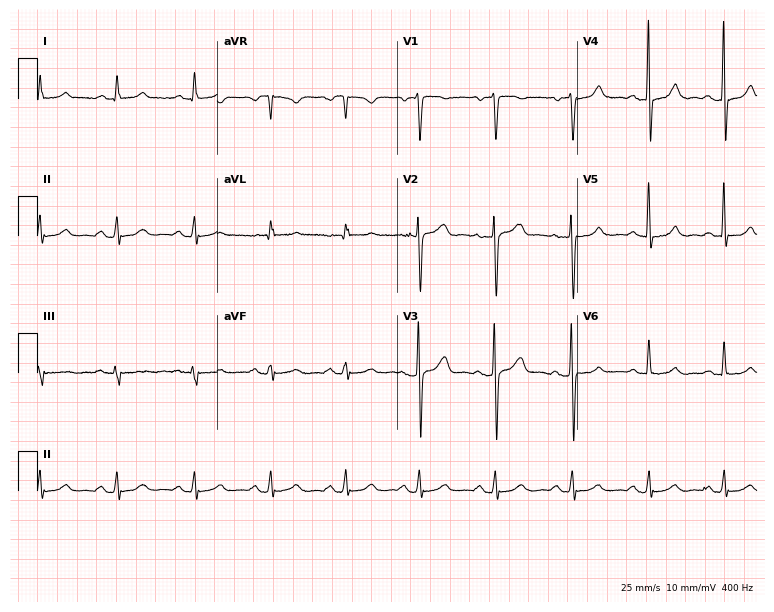
12-lead ECG (7.3-second recording at 400 Hz) from a 43-year-old female patient. Labelled as a normal ECG.